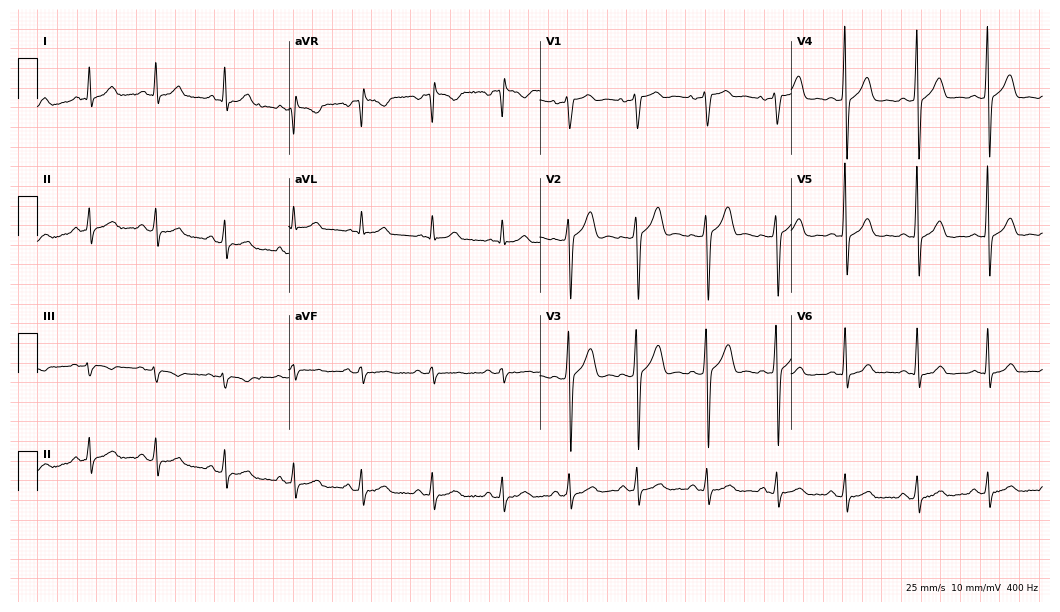
Resting 12-lead electrocardiogram. Patient: a 27-year-old male. Read as a normal ECG.